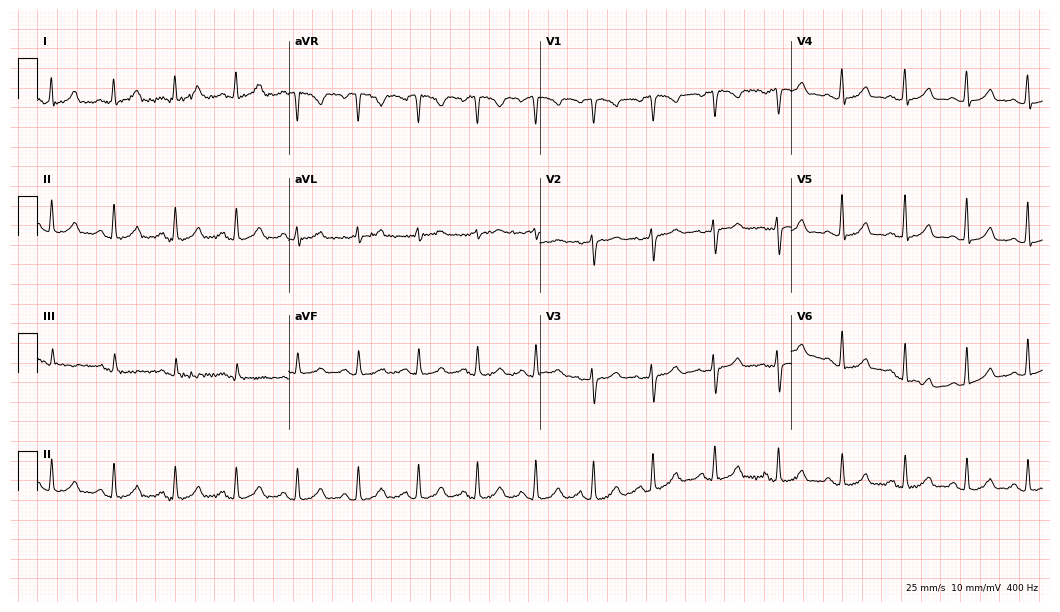
ECG — a female patient, 38 years old. Screened for six findings — first-degree AV block, right bundle branch block (RBBB), left bundle branch block (LBBB), sinus bradycardia, atrial fibrillation (AF), sinus tachycardia — none is recorded.